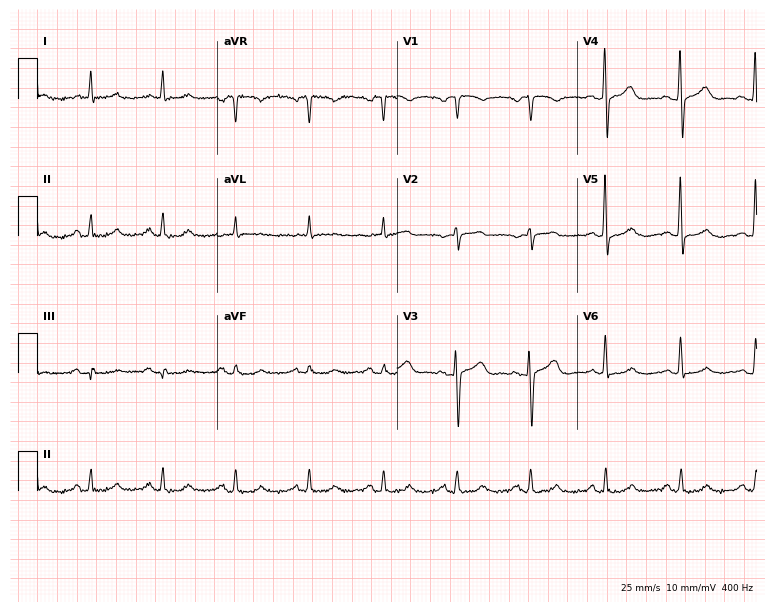
Electrocardiogram (7.3-second recording at 400 Hz), a male patient, 83 years old. Of the six screened findings (first-degree AV block, right bundle branch block, left bundle branch block, sinus bradycardia, atrial fibrillation, sinus tachycardia), none is recorded. Findings outside these six are not listed.